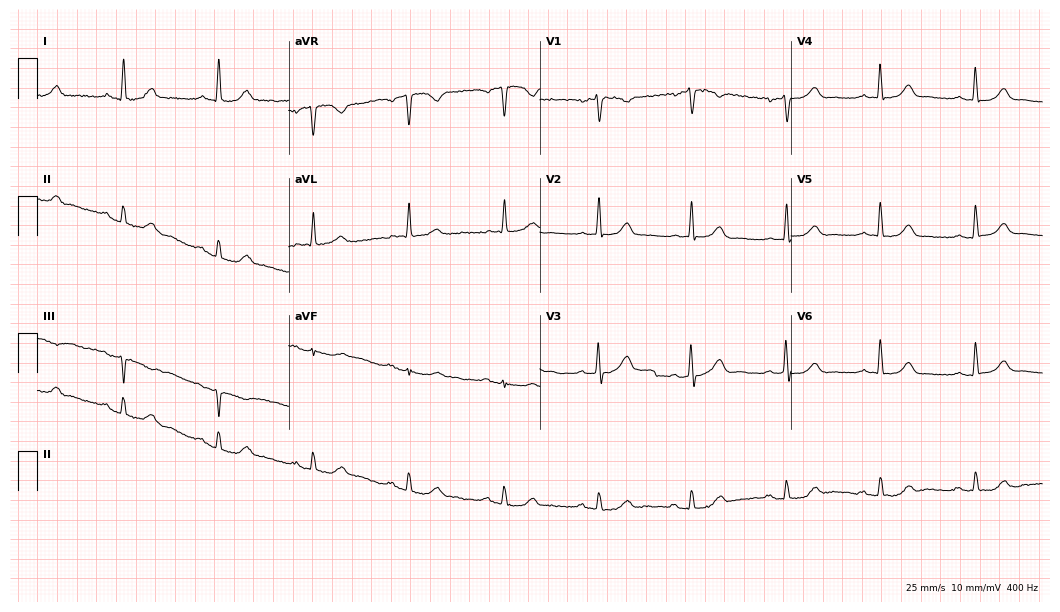
Standard 12-lead ECG recorded from a 77-year-old female (10.2-second recording at 400 Hz). Read as a normal ECG.